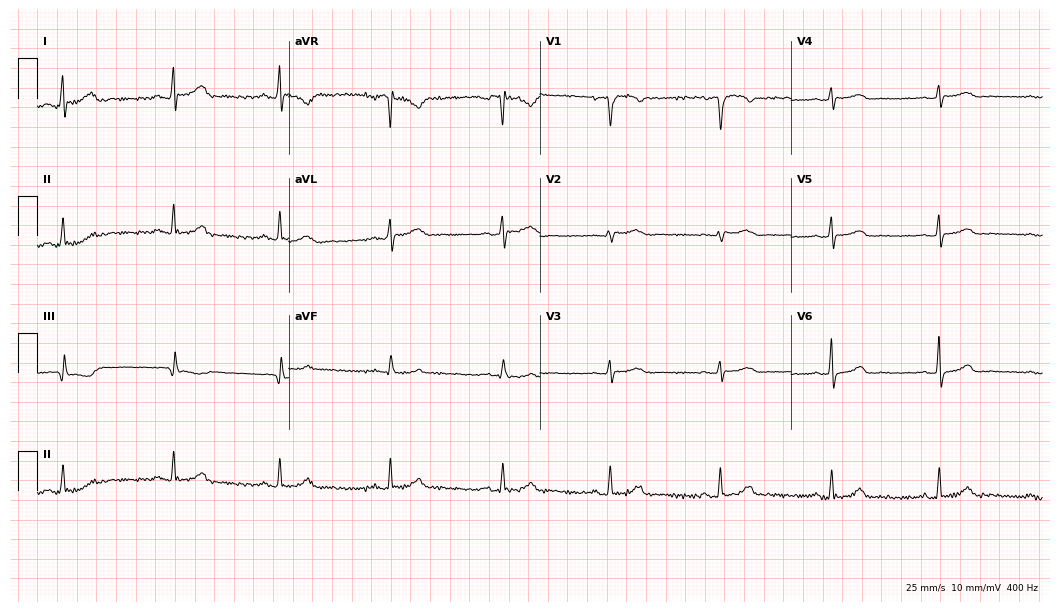
ECG — a female, 63 years old. Labelled as a normal ECG.